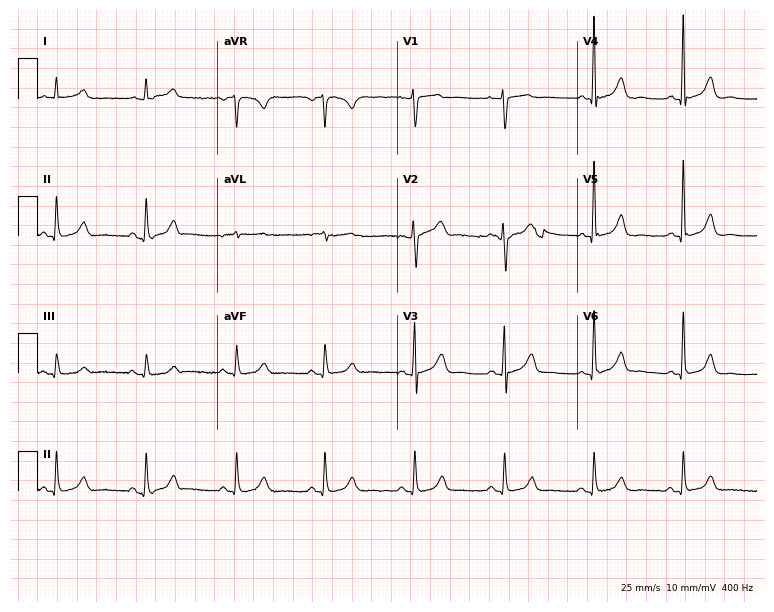
Standard 12-lead ECG recorded from a male, 73 years old (7.3-second recording at 400 Hz). None of these six findings is recorded: first-degree AV block, right bundle branch block (RBBB), left bundle branch block (LBBB), sinus bradycardia, atrial fibrillation (AF), sinus tachycardia. Findings outside these six are not listed.